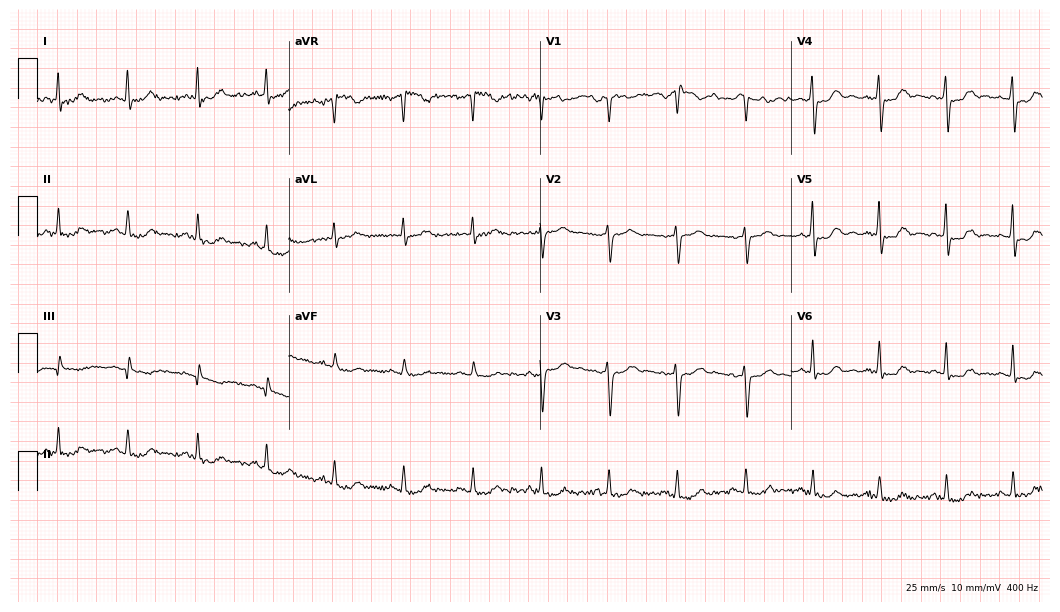
12-lead ECG from a female, 51 years old. Screened for six findings — first-degree AV block, right bundle branch block (RBBB), left bundle branch block (LBBB), sinus bradycardia, atrial fibrillation (AF), sinus tachycardia — none is recorded.